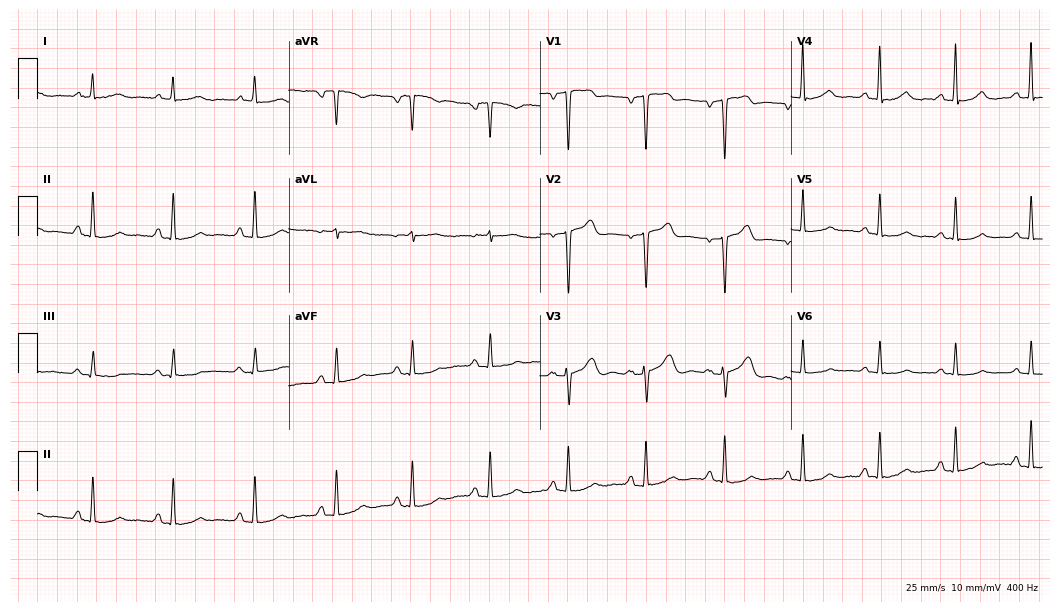
Electrocardiogram, a male, 65 years old. Of the six screened findings (first-degree AV block, right bundle branch block, left bundle branch block, sinus bradycardia, atrial fibrillation, sinus tachycardia), none is recorded. Findings outside these six are not listed.